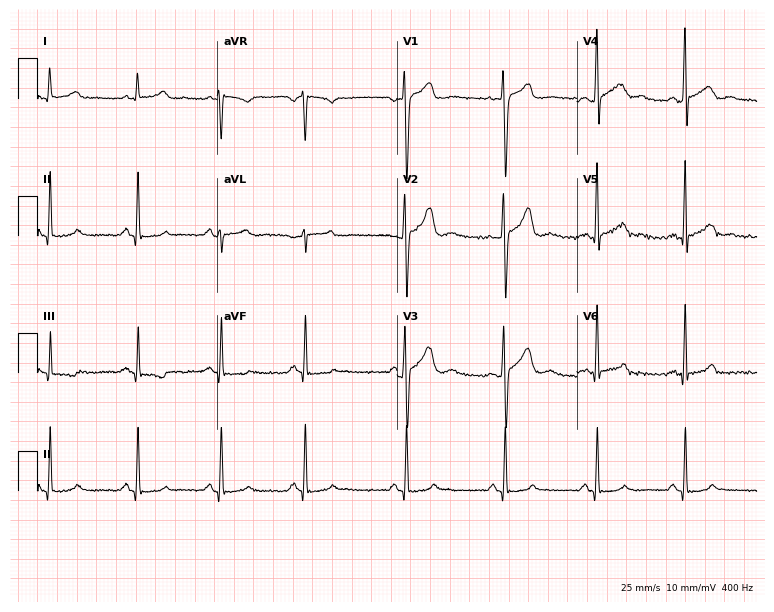
Standard 12-lead ECG recorded from a 24-year-old man (7.3-second recording at 400 Hz). Read as a normal ECG.